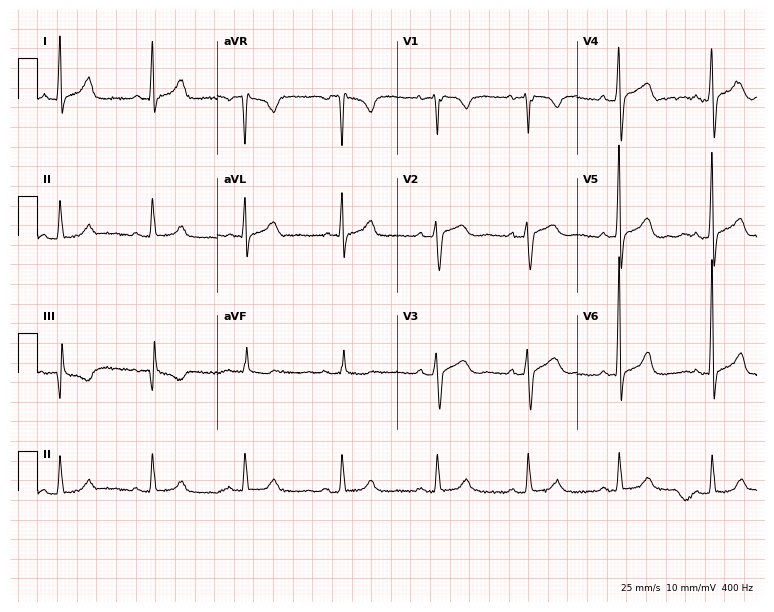
Resting 12-lead electrocardiogram. Patient: a male, 55 years old. Read as a normal ECG.